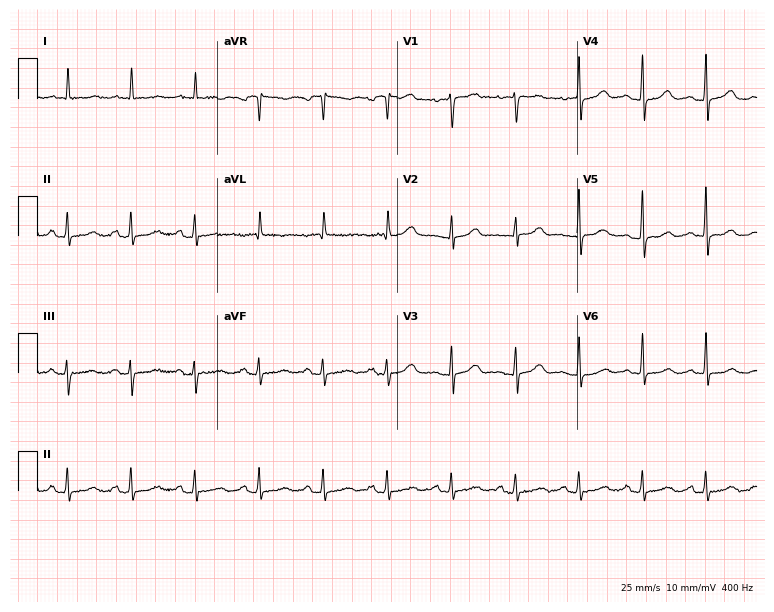
Standard 12-lead ECG recorded from a female, 66 years old. None of these six findings is recorded: first-degree AV block, right bundle branch block (RBBB), left bundle branch block (LBBB), sinus bradycardia, atrial fibrillation (AF), sinus tachycardia. Other findings, if any, are not listed.